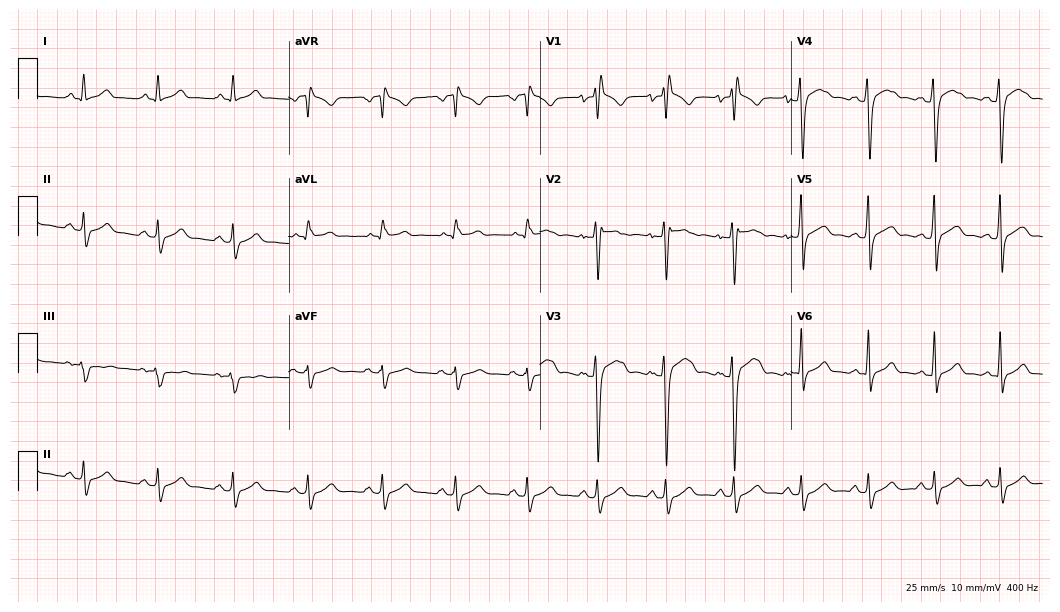
Resting 12-lead electrocardiogram (10.2-second recording at 400 Hz). Patient: a 19-year-old male. The tracing shows right bundle branch block (RBBB).